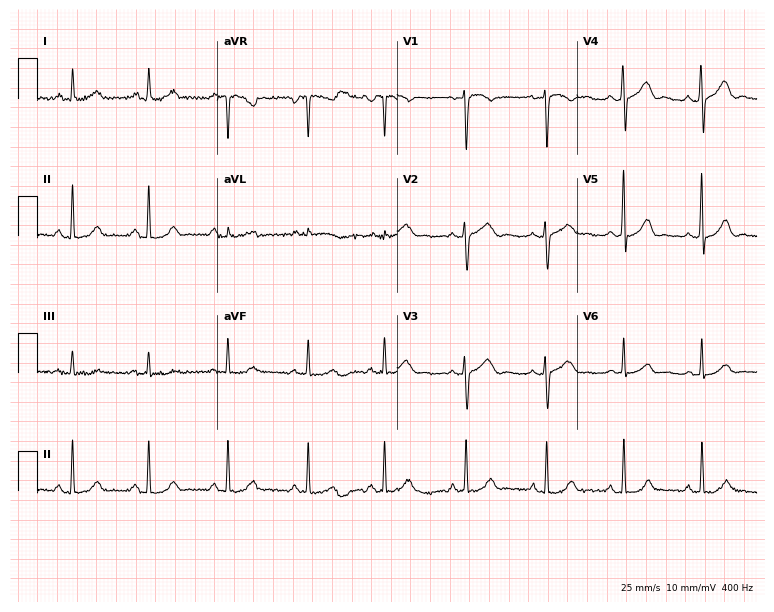
ECG — a 28-year-old female patient. Labelled as a normal ECG.